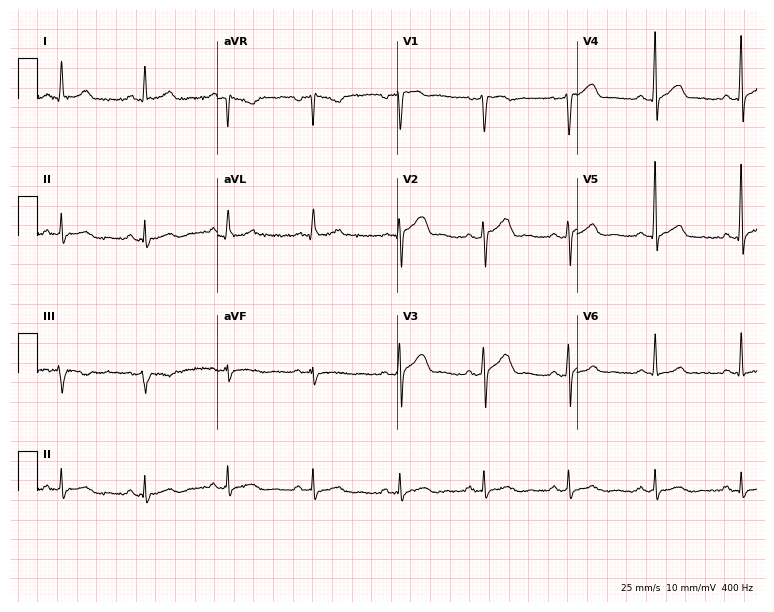
ECG (7.3-second recording at 400 Hz) — a man, 58 years old. Labelled as a normal ECG.